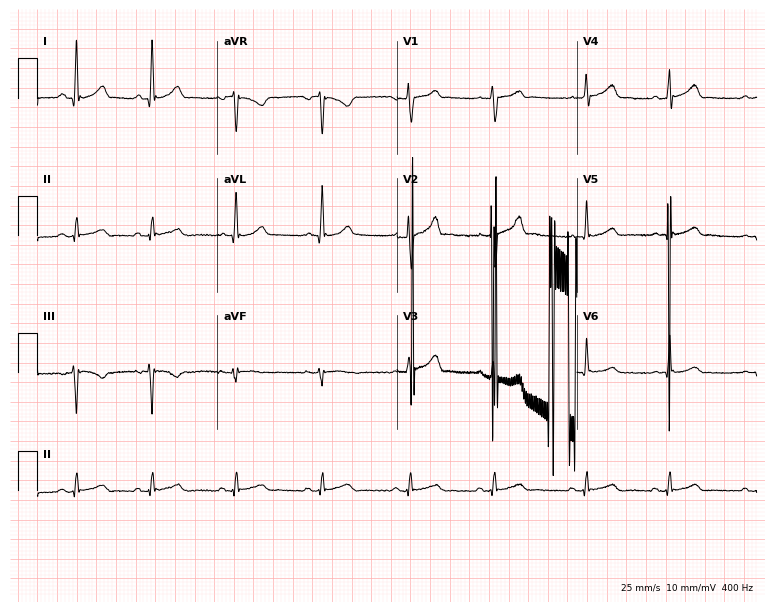
Resting 12-lead electrocardiogram. Patient: a 21-year-old male. None of these six findings is recorded: first-degree AV block, right bundle branch block, left bundle branch block, sinus bradycardia, atrial fibrillation, sinus tachycardia. Other findings, if any, are not listed.